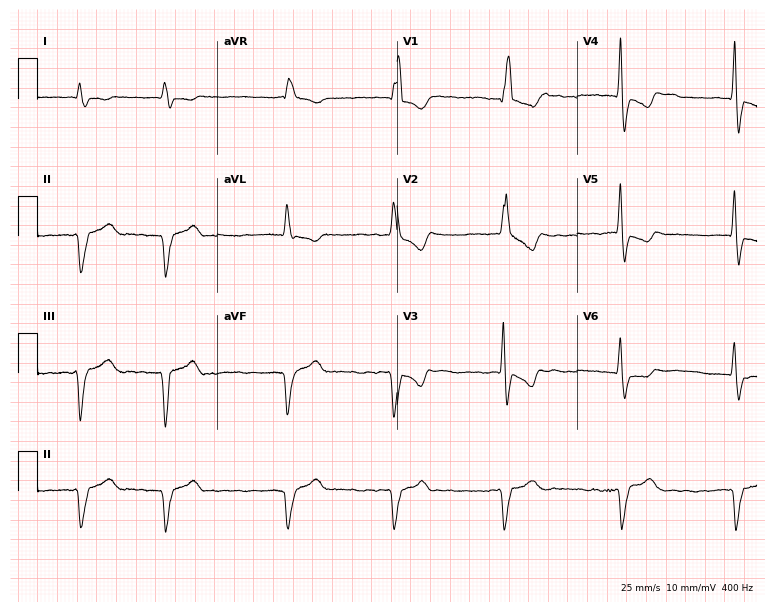
Standard 12-lead ECG recorded from a male patient, 80 years old (7.3-second recording at 400 Hz). The tracing shows right bundle branch block, atrial fibrillation.